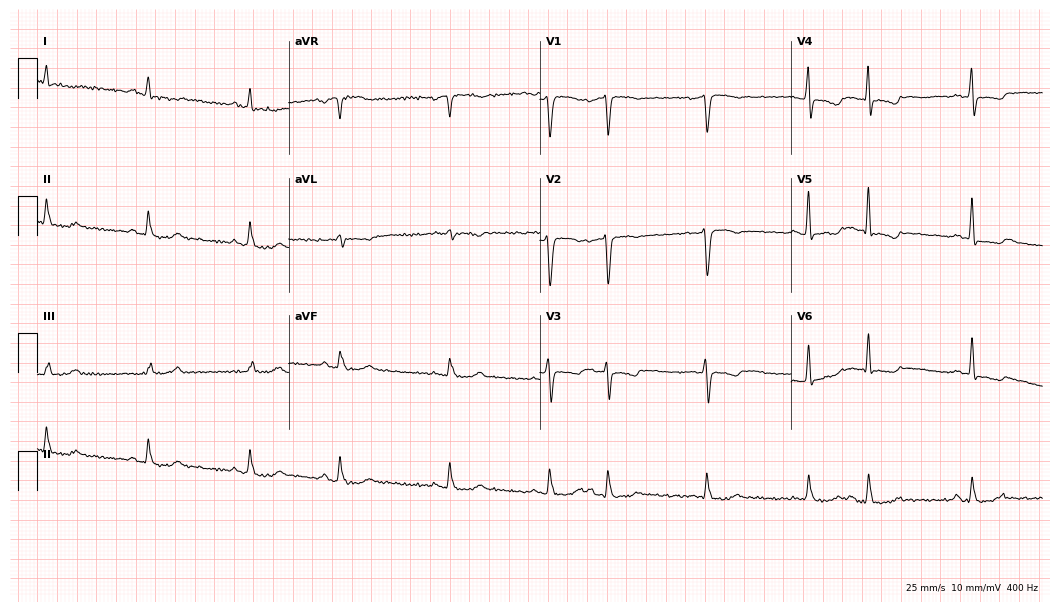
12-lead ECG from a female, 50 years old. No first-degree AV block, right bundle branch block, left bundle branch block, sinus bradycardia, atrial fibrillation or sinus tachycardia recorded for this tracing. Only these six findings were labelled.